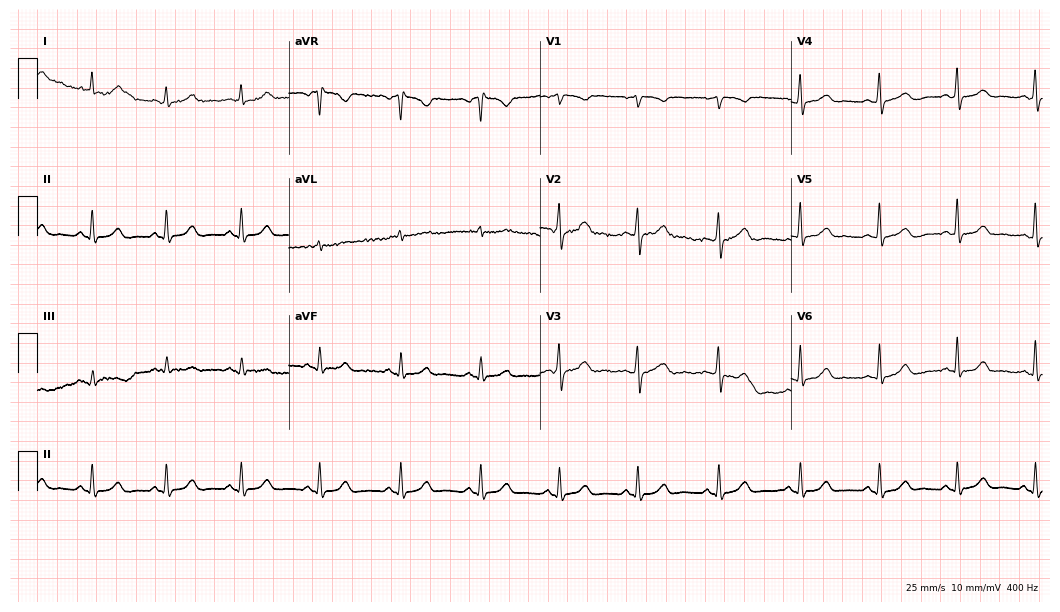
Standard 12-lead ECG recorded from a 34-year-old woman (10.2-second recording at 400 Hz). Read as a normal ECG.